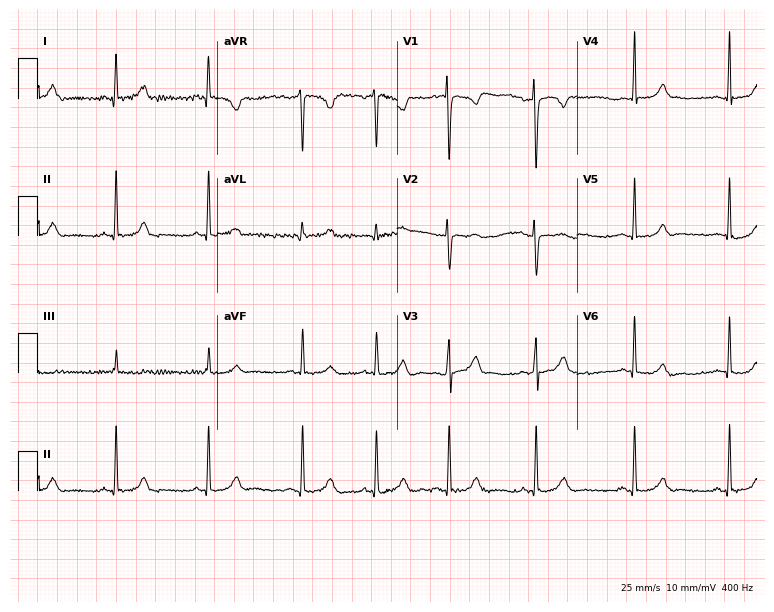
12-lead ECG (7.3-second recording at 400 Hz) from a woman, 20 years old. Labelled as a normal ECG.